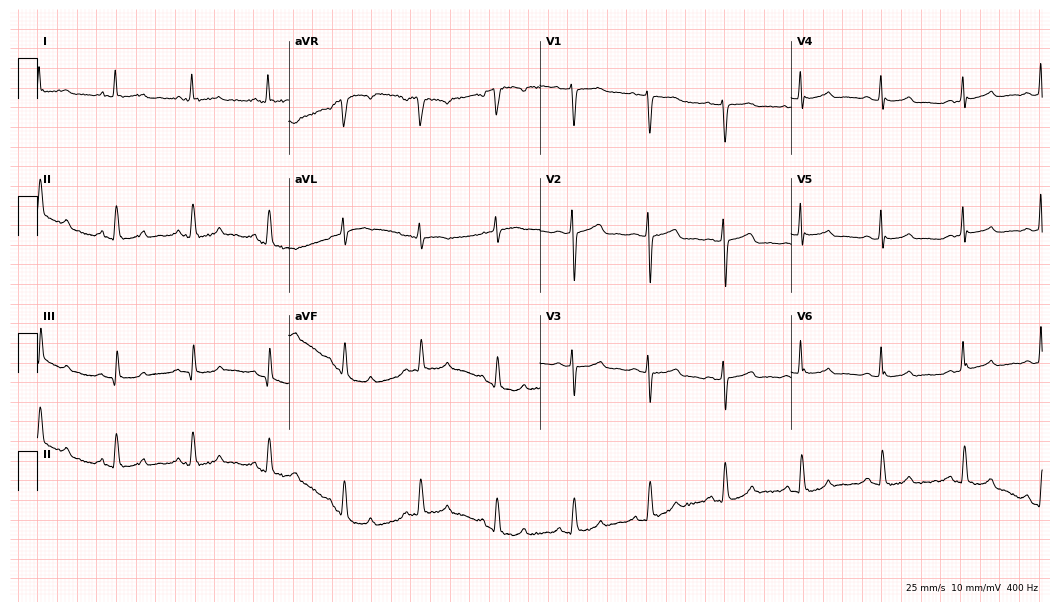
Standard 12-lead ECG recorded from a female, 55 years old (10.2-second recording at 400 Hz). Read as a normal ECG.